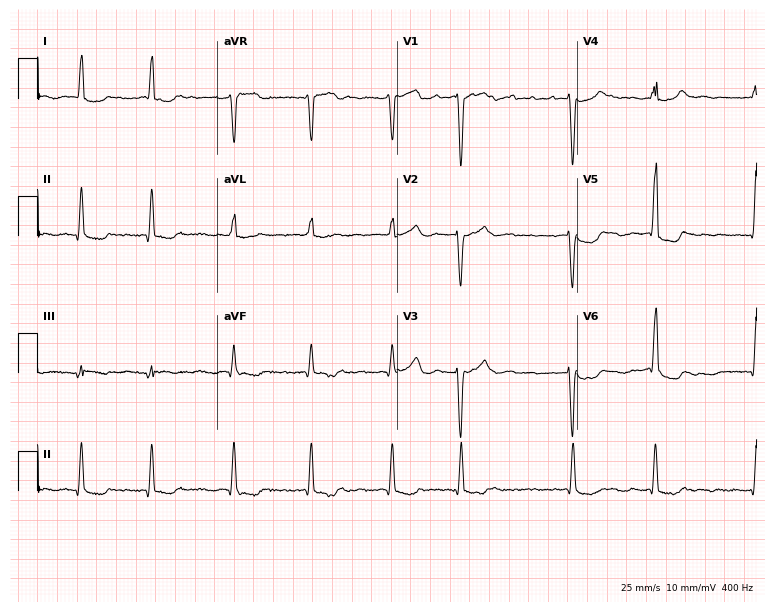
Electrocardiogram, a 68-year-old female patient. Interpretation includes atrial fibrillation.